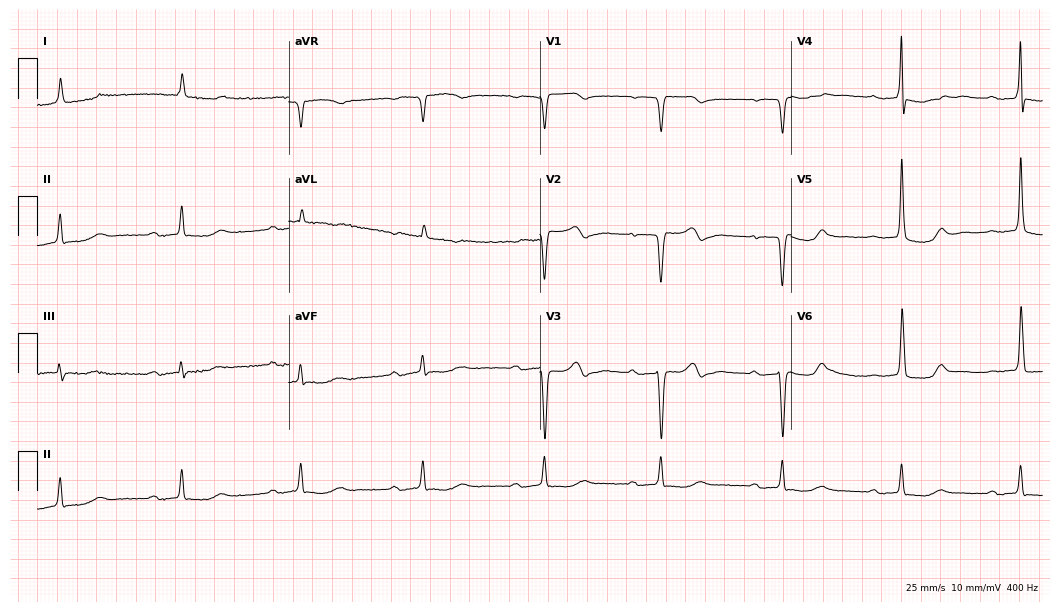
12-lead ECG from a female patient, 79 years old. Shows first-degree AV block, right bundle branch block.